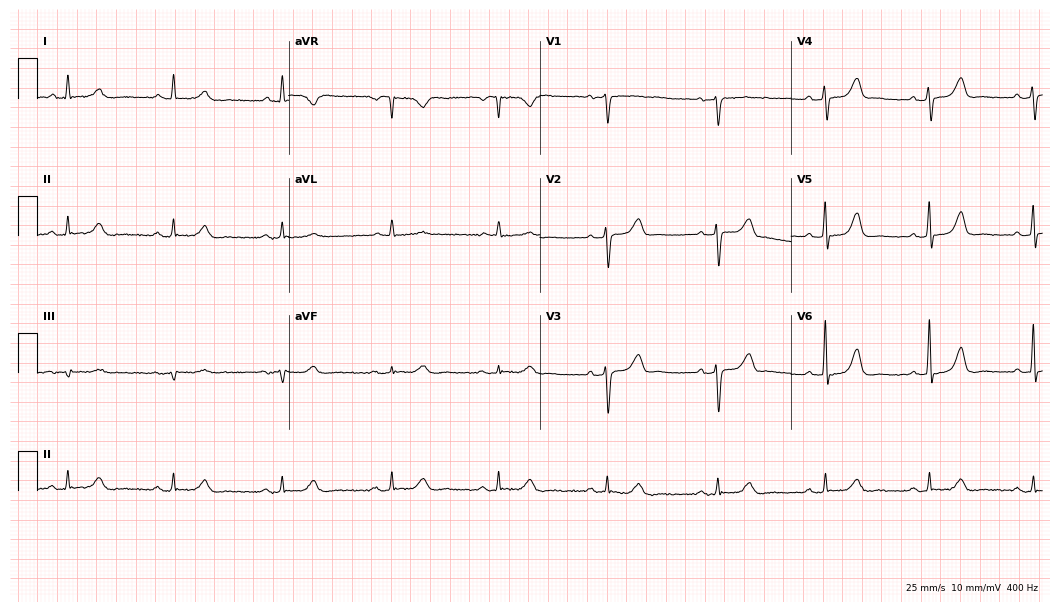
Electrocardiogram, a female, 76 years old. Overall reading on record: normal ECG.